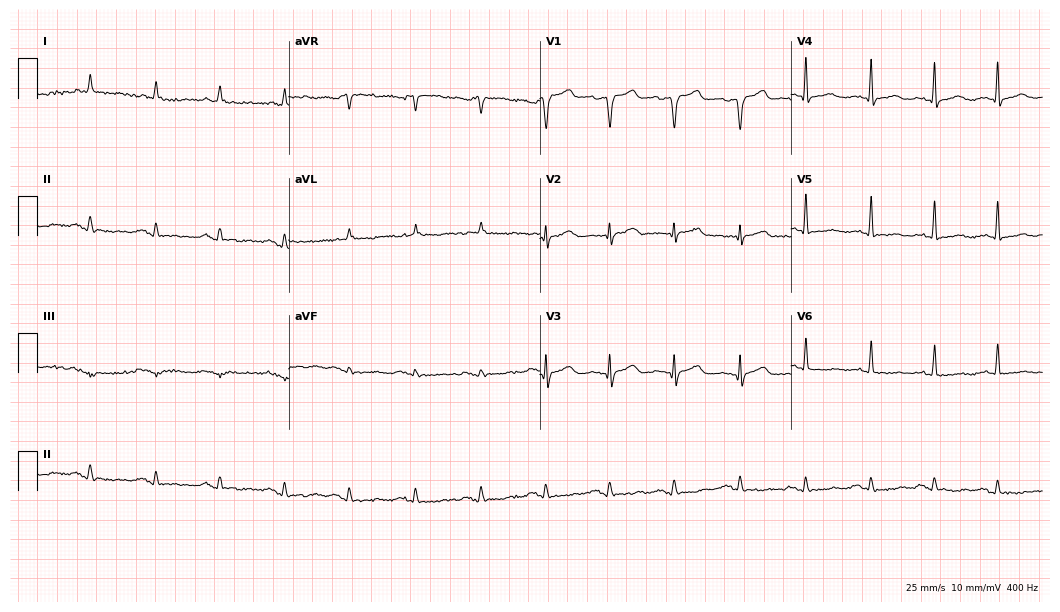
Resting 12-lead electrocardiogram (10.2-second recording at 400 Hz). Patient: a 77-year-old male. None of these six findings is recorded: first-degree AV block, right bundle branch block, left bundle branch block, sinus bradycardia, atrial fibrillation, sinus tachycardia.